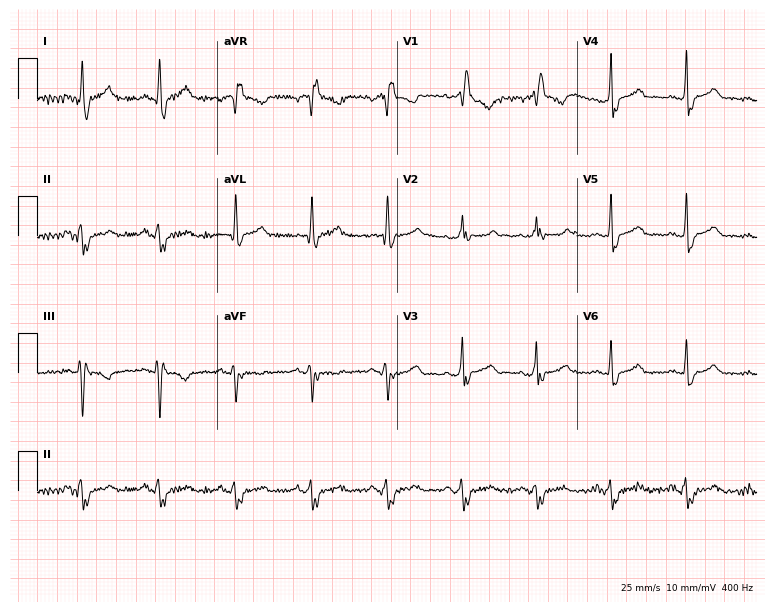
Resting 12-lead electrocardiogram. Patient: a 40-year-old woman. The tracing shows right bundle branch block (RBBB).